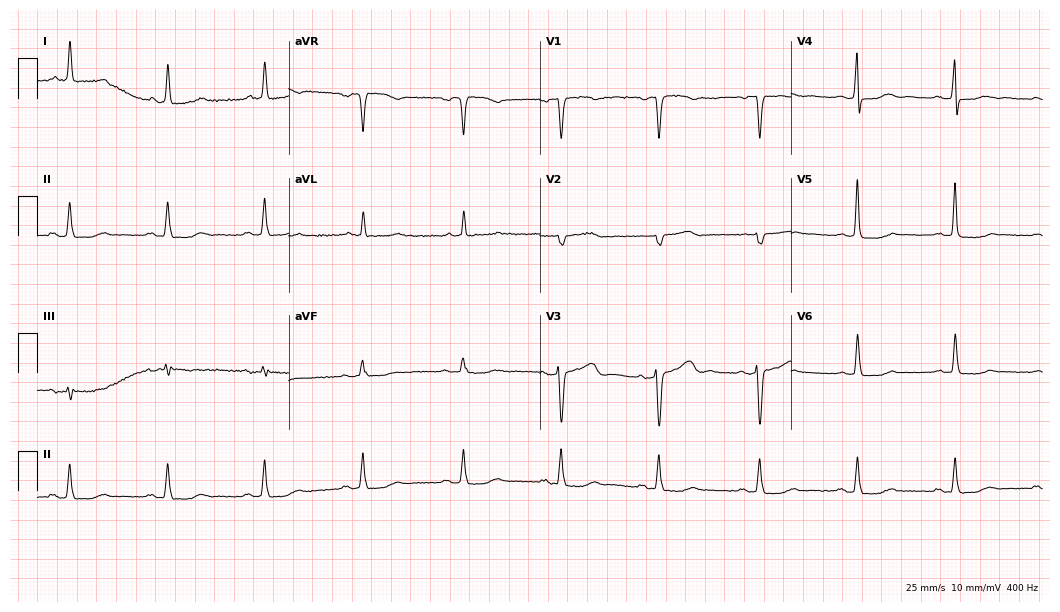
12-lead ECG from a 67-year-old woman (10.2-second recording at 400 Hz). No first-degree AV block, right bundle branch block (RBBB), left bundle branch block (LBBB), sinus bradycardia, atrial fibrillation (AF) or sinus tachycardia recorded for this tracing.